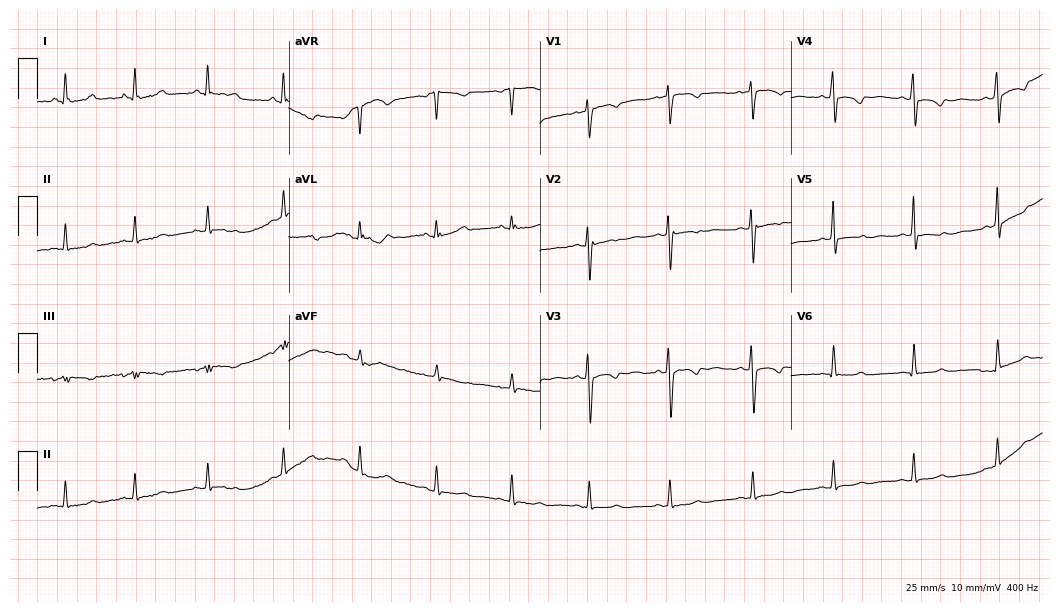
Electrocardiogram (10.2-second recording at 400 Hz), a 35-year-old female patient. Of the six screened findings (first-degree AV block, right bundle branch block, left bundle branch block, sinus bradycardia, atrial fibrillation, sinus tachycardia), none is recorded. Findings outside these six are not listed.